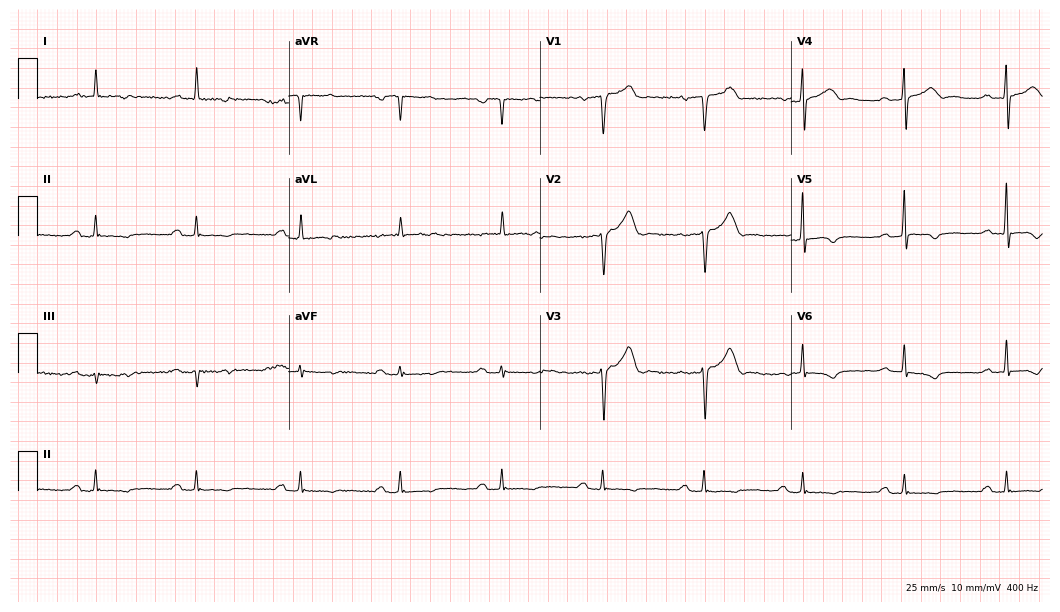
12-lead ECG from a man, 68 years old. Findings include first-degree AV block.